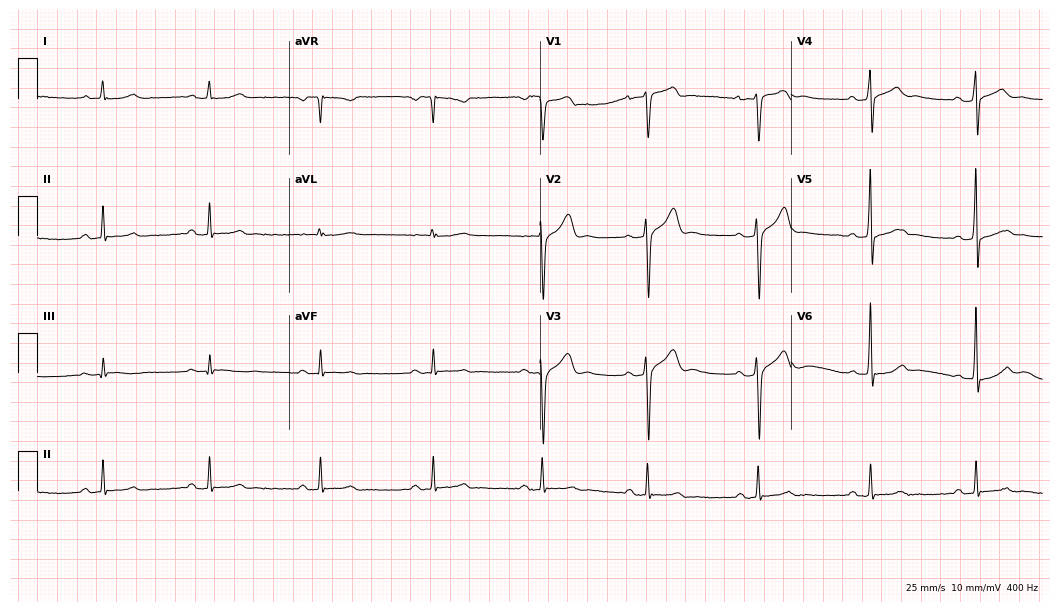
Resting 12-lead electrocardiogram. Patient: a 25-year-old man. Read as a normal ECG.